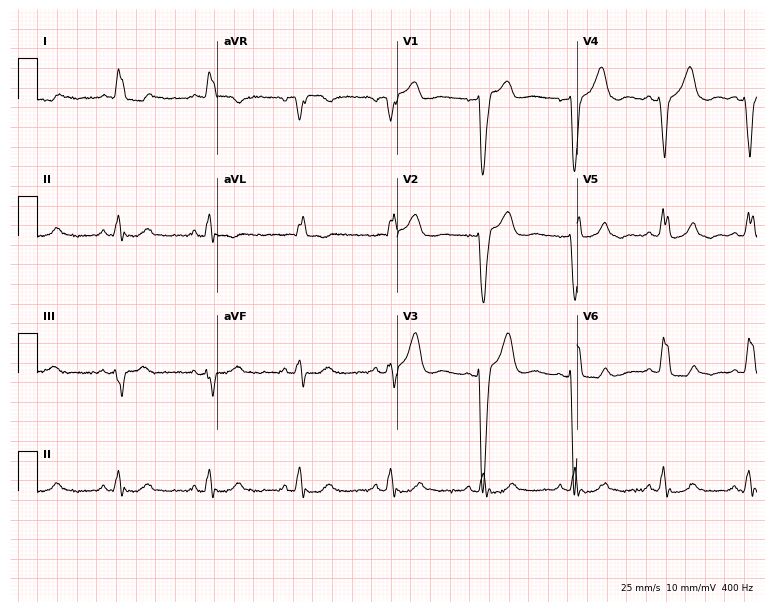
Resting 12-lead electrocardiogram. Patient: a woman, 72 years old. None of these six findings is recorded: first-degree AV block, right bundle branch block, left bundle branch block, sinus bradycardia, atrial fibrillation, sinus tachycardia.